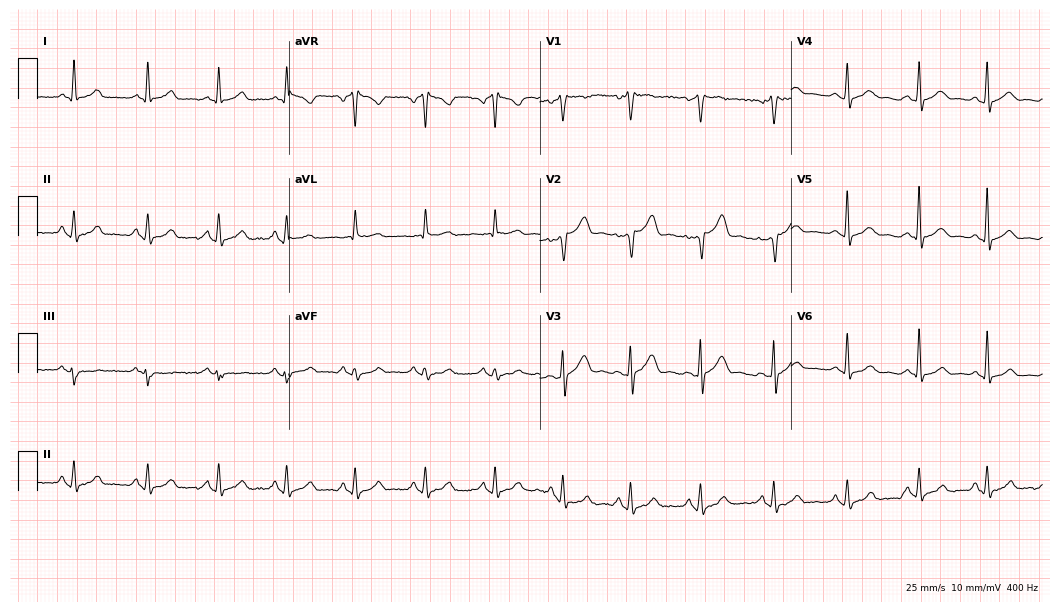
12-lead ECG from a man, 51 years old (10.2-second recording at 400 Hz). Recorded interpretation: within normal limits.